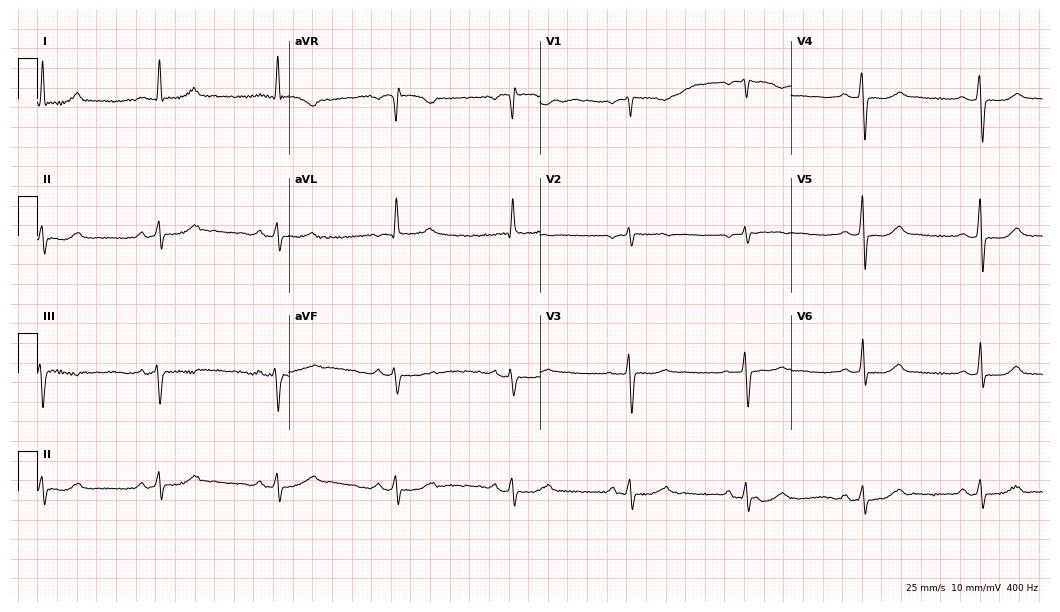
12-lead ECG from a 61-year-old female patient. Shows sinus bradycardia (a sinus rate of 50 beats per minute or less).